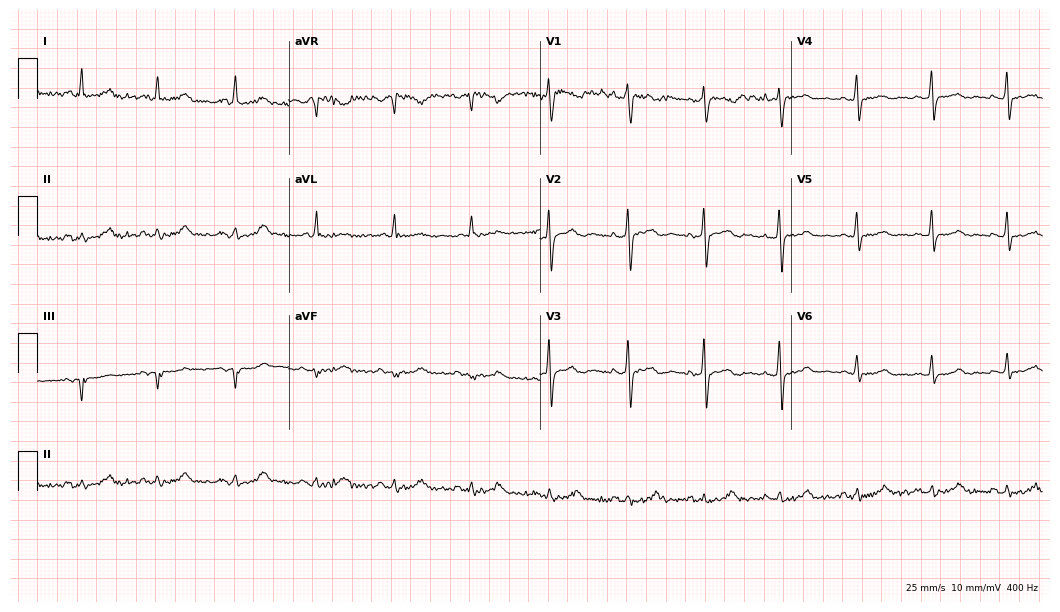
12-lead ECG from a 29-year-old female patient (10.2-second recording at 400 Hz). Recorded interpretation: within normal limits.